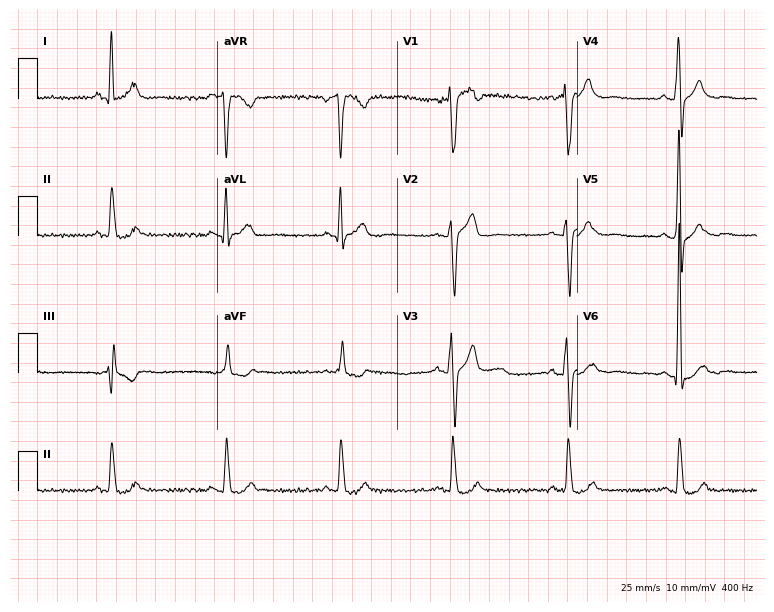
Standard 12-lead ECG recorded from a 44-year-old male. Read as a normal ECG.